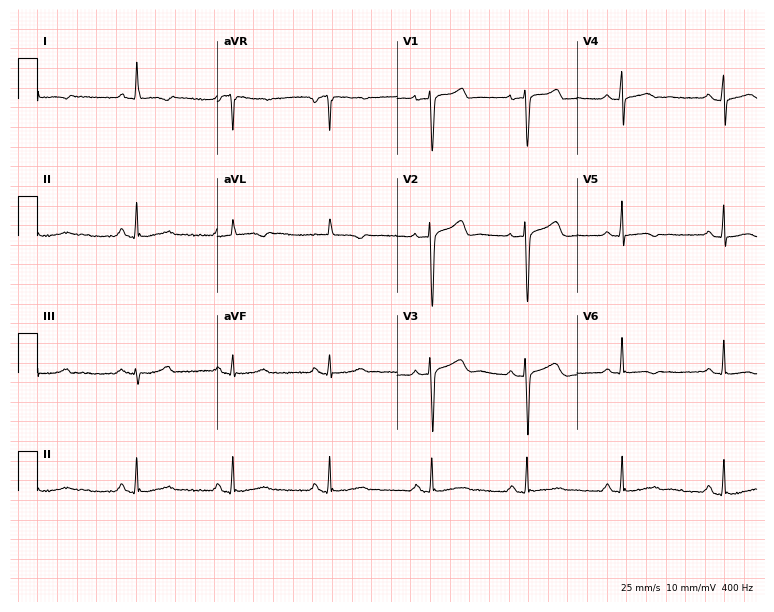
Electrocardiogram, a 38-year-old female patient. Of the six screened findings (first-degree AV block, right bundle branch block, left bundle branch block, sinus bradycardia, atrial fibrillation, sinus tachycardia), none is recorded. Only these six findings were labelled.